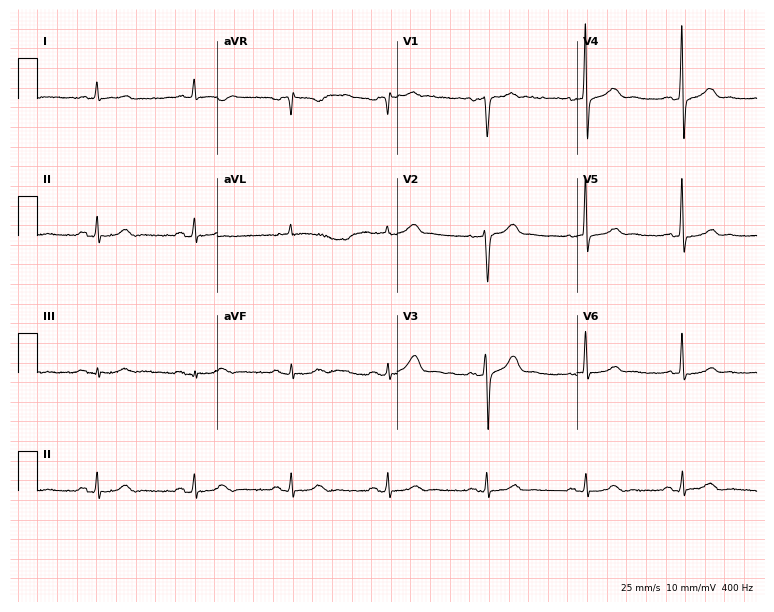
ECG (7.3-second recording at 400 Hz) — a male patient, 54 years old. Labelled as a normal ECG.